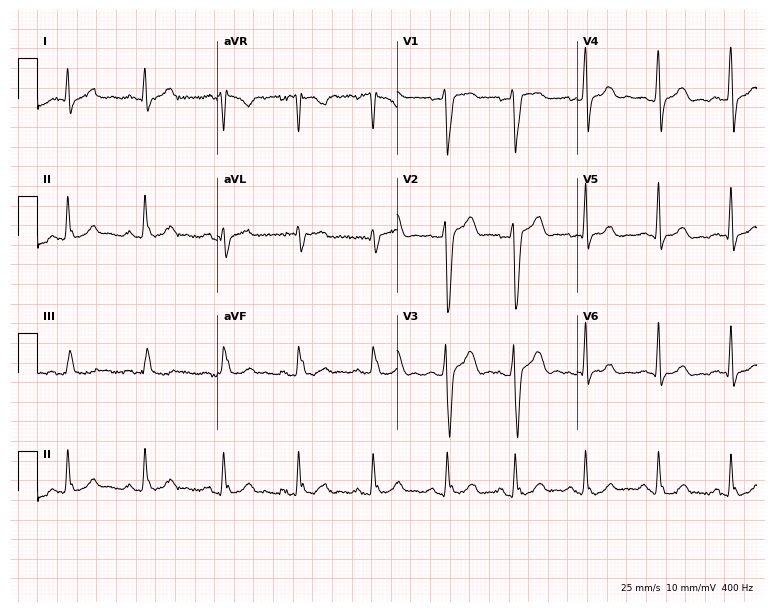
Electrocardiogram, a male patient, 35 years old. Of the six screened findings (first-degree AV block, right bundle branch block, left bundle branch block, sinus bradycardia, atrial fibrillation, sinus tachycardia), none is recorded. Other findings, if any, are not listed.